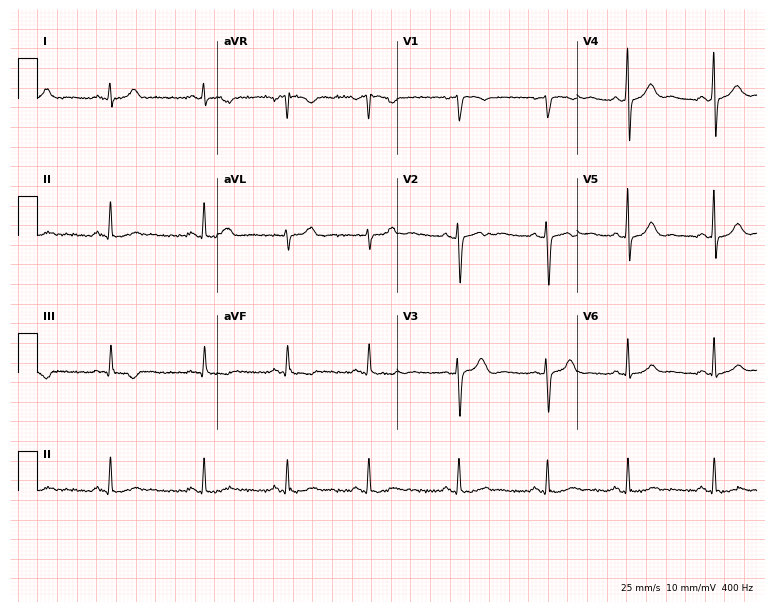
12-lead ECG from a 19-year-old female patient (7.3-second recording at 400 Hz). Recorded interpretation: within normal limits.